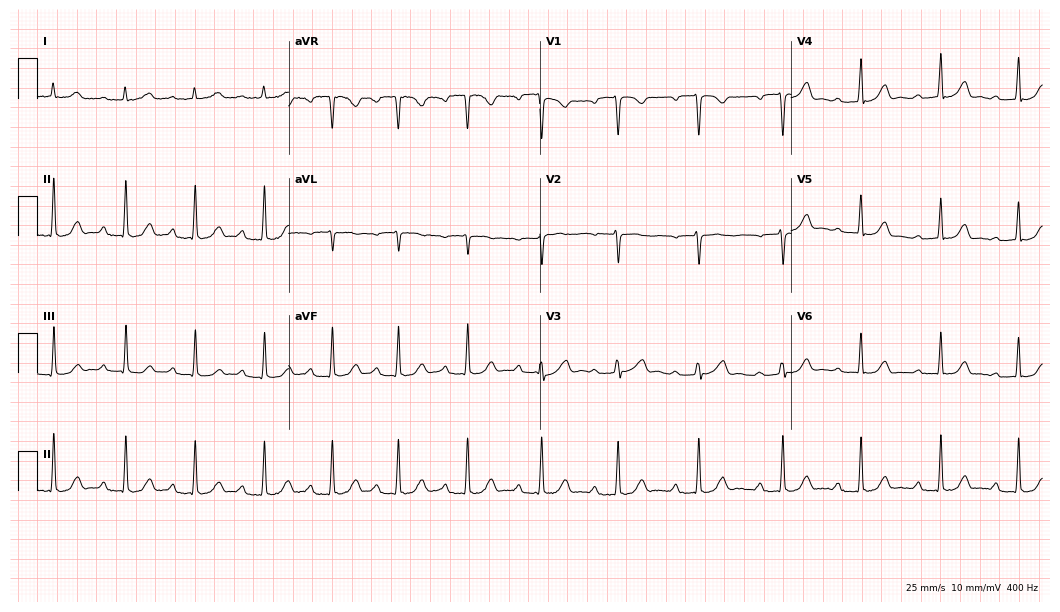
Electrocardiogram, a 29-year-old female. Interpretation includes first-degree AV block.